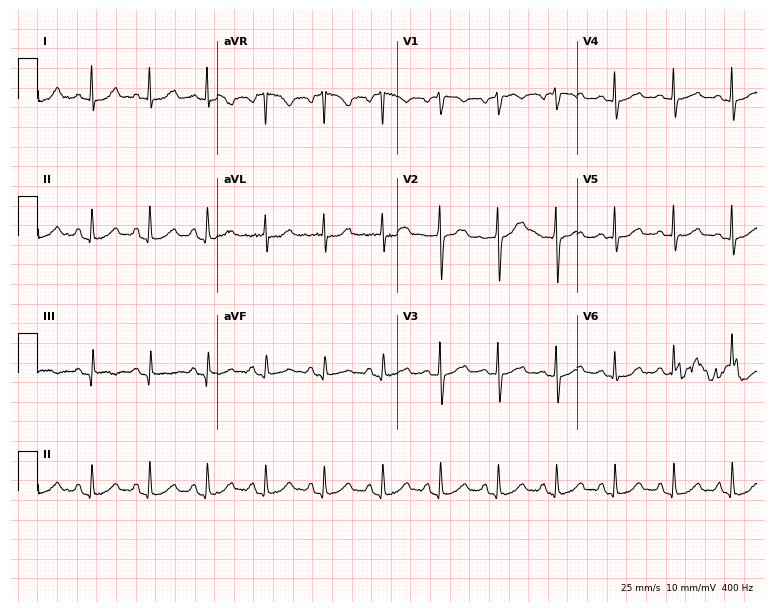
Resting 12-lead electrocardiogram (7.3-second recording at 400 Hz). Patient: a 38-year-old woman. Read as a normal ECG.